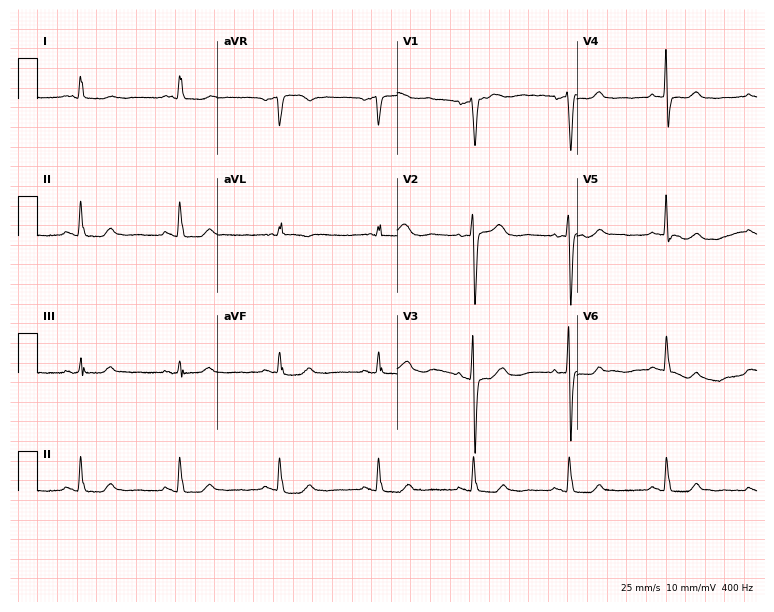
12-lead ECG (7.3-second recording at 400 Hz) from a female, 60 years old. Screened for six findings — first-degree AV block, right bundle branch block, left bundle branch block, sinus bradycardia, atrial fibrillation, sinus tachycardia — none is recorded. Other findings, if any, are not listed.